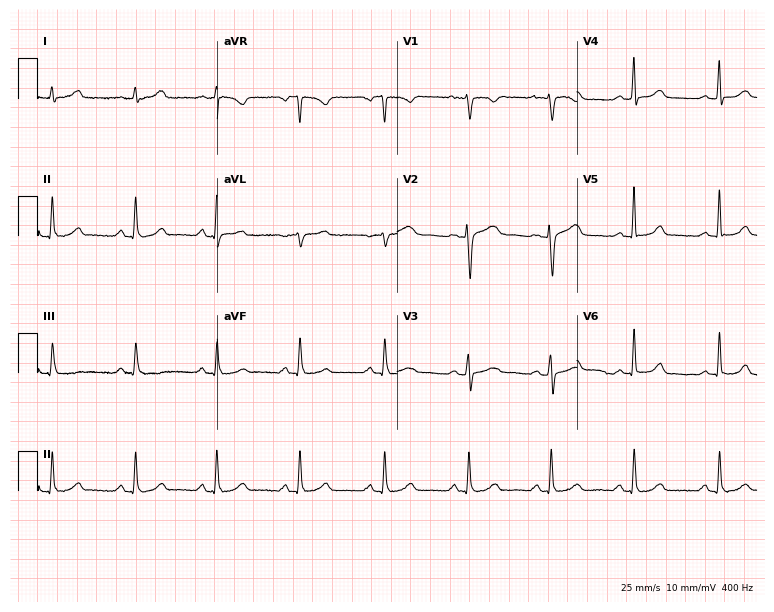
Standard 12-lead ECG recorded from a 30-year-old woman (7.3-second recording at 400 Hz). Read as a normal ECG.